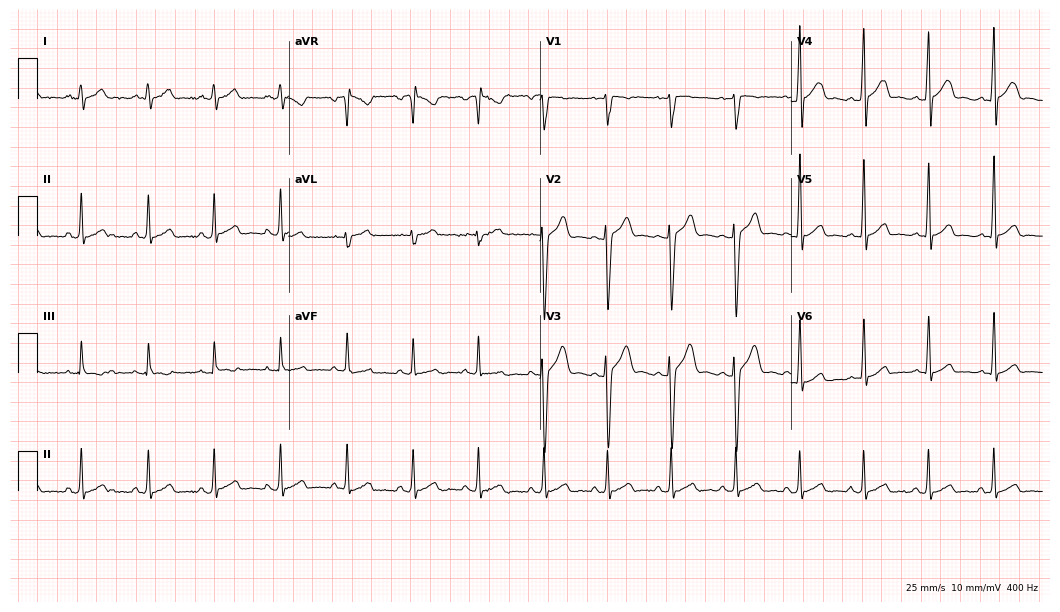
Standard 12-lead ECG recorded from a 17-year-old male patient (10.2-second recording at 400 Hz). None of these six findings is recorded: first-degree AV block, right bundle branch block, left bundle branch block, sinus bradycardia, atrial fibrillation, sinus tachycardia. Findings outside these six are not listed.